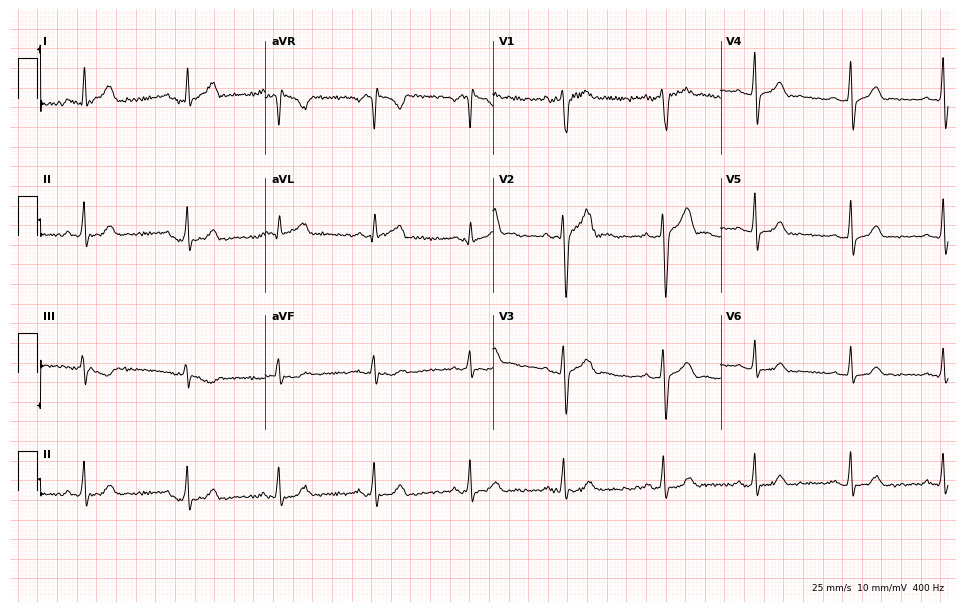
12-lead ECG (9.3-second recording at 400 Hz) from a female patient, 19 years old. Screened for six findings — first-degree AV block, right bundle branch block (RBBB), left bundle branch block (LBBB), sinus bradycardia, atrial fibrillation (AF), sinus tachycardia — none is recorded.